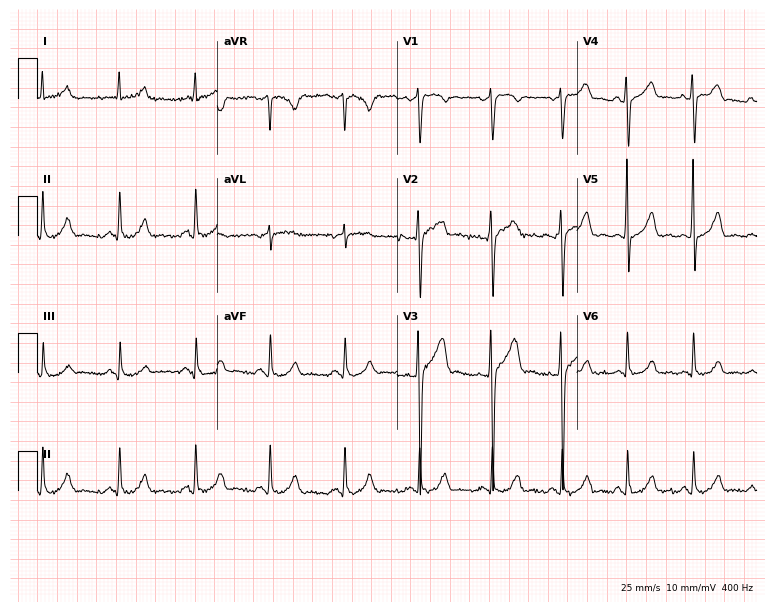
12-lead ECG from a 43-year-old man (7.3-second recording at 400 Hz). Recorded interpretation: within normal limits.